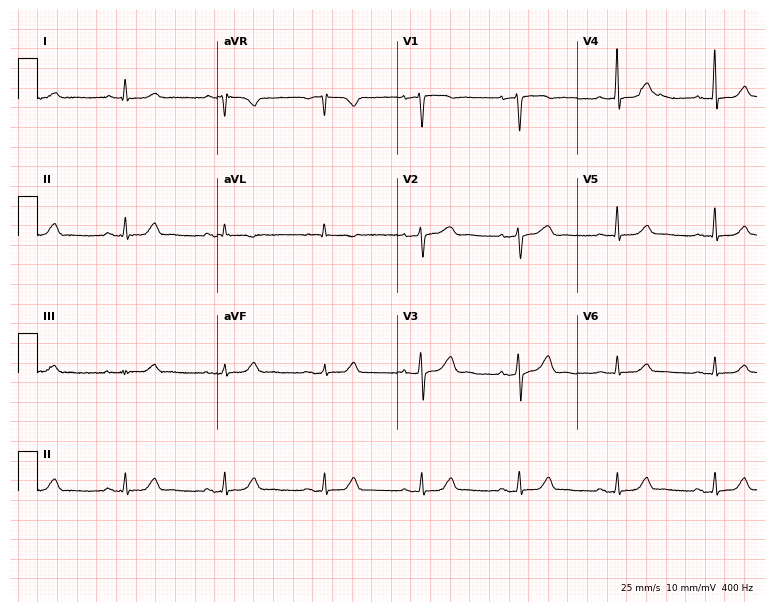
ECG (7.3-second recording at 400 Hz) — a male, 59 years old. Labelled as a normal ECG.